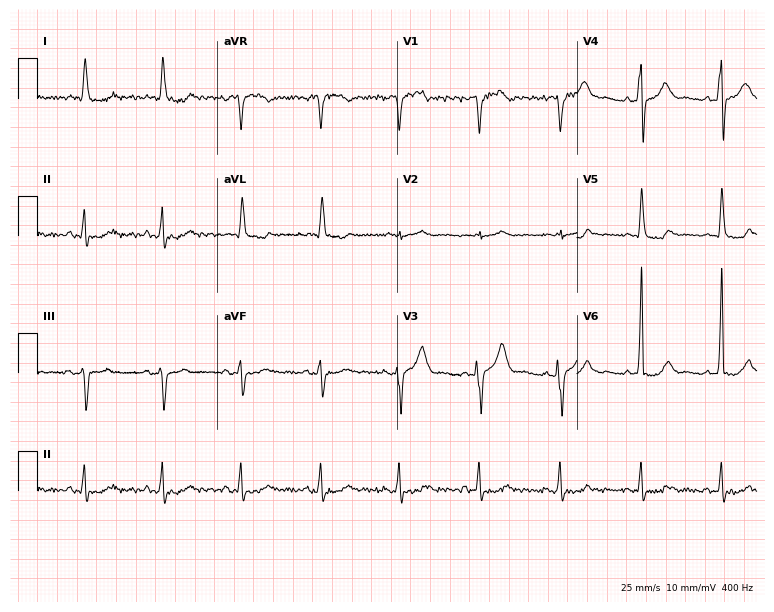
12-lead ECG from a 65-year-old man (7.3-second recording at 400 Hz). No first-degree AV block, right bundle branch block (RBBB), left bundle branch block (LBBB), sinus bradycardia, atrial fibrillation (AF) or sinus tachycardia recorded for this tracing. Other findings, if any, are not listed.